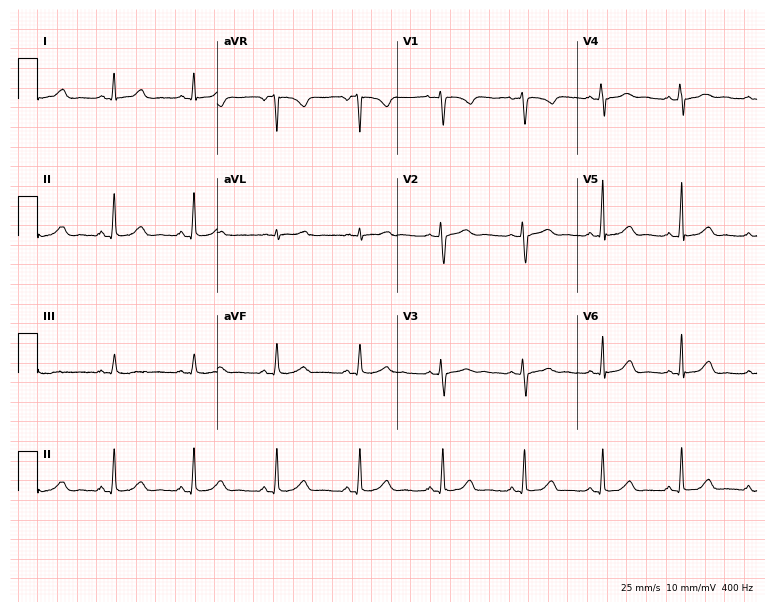
Standard 12-lead ECG recorded from a female, 30 years old (7.3-second recording at 400 Hz). Read as a normal ECG.